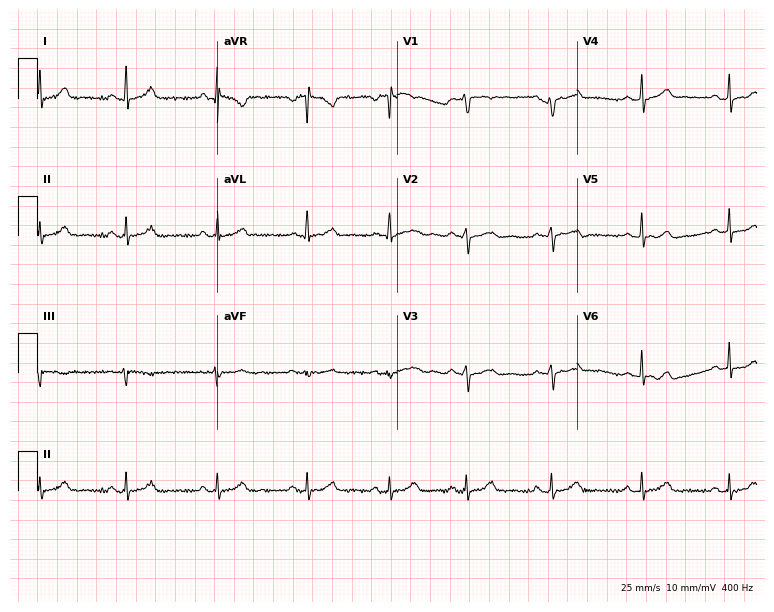
12-lead ECG from a 29-year-old female (7.3-second recording at 400 Hz). Recorded interpretation: within normal limits.